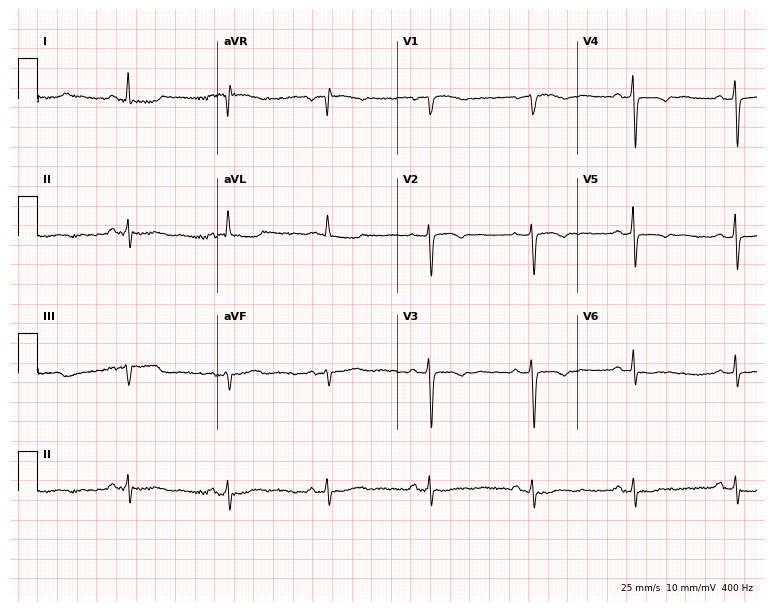
ECG (7.3-second recording at 400 Hz) — a female, 57 years old. Screened for six findings — first-degree AV block, right bundle branch block, left bundle branch block, sinus bradycardia, atrial fibrillation, sinus tachycardia — none is recorded.